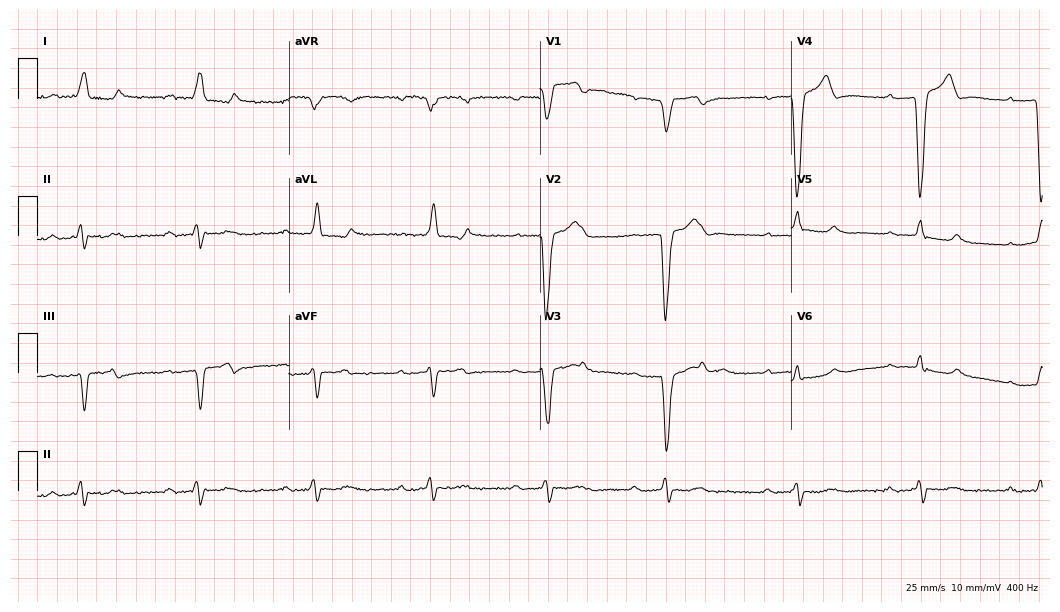
Resting 12-lead electrocardiogram (10.2-second recording at 400 Hz). Patient: an 83-year-old male. The tracing shows first-degree AV block, right bundle branch block, left bundle branch block, sinus bradycardia (a sinus rate of 50 beats per minute or less).